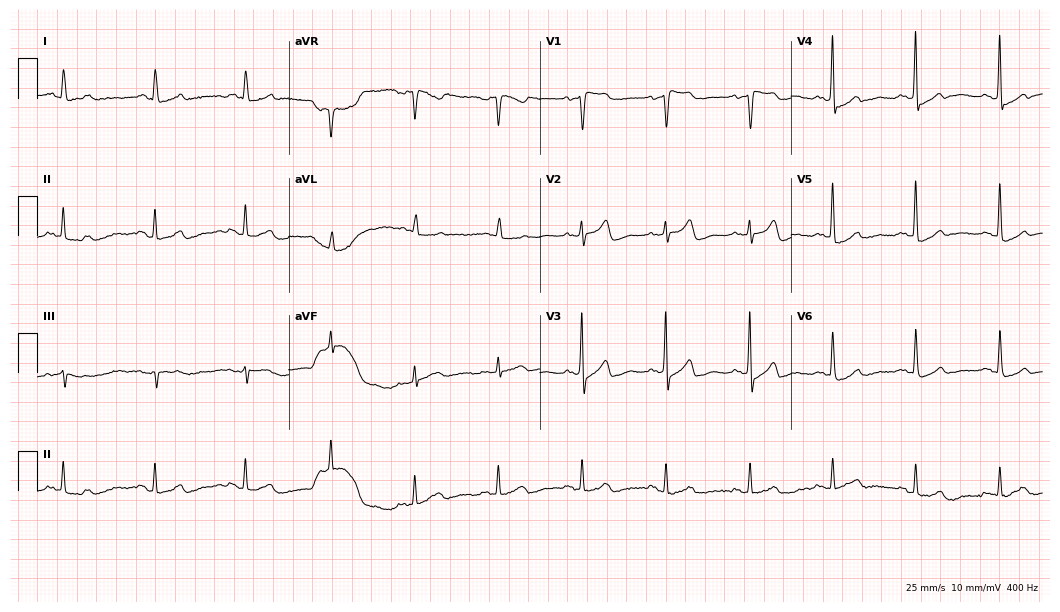
Standard 12-lead ECG recorded from a 78-year-old female patient. None of these six findings is recorded: first-degree AV block, right bundle branch block, left bundle branch block, sinus bradycardia, atrial fibrillation, sinus tachycardia.